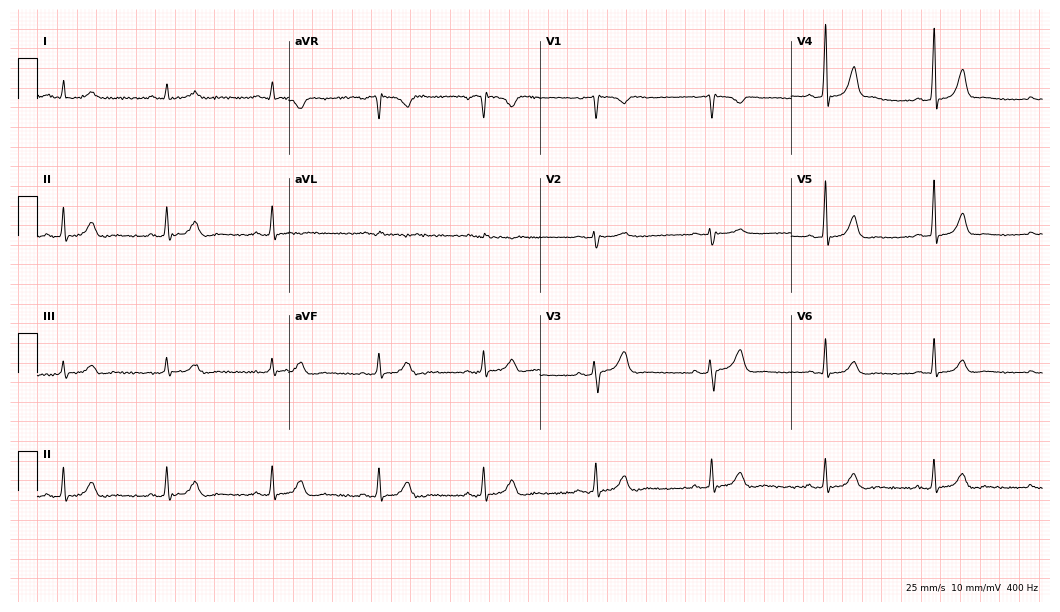
12-lead ECG (10.2-second recording at 400 Hz) from a woman, 33 years old. Labelled as a normal ECG.